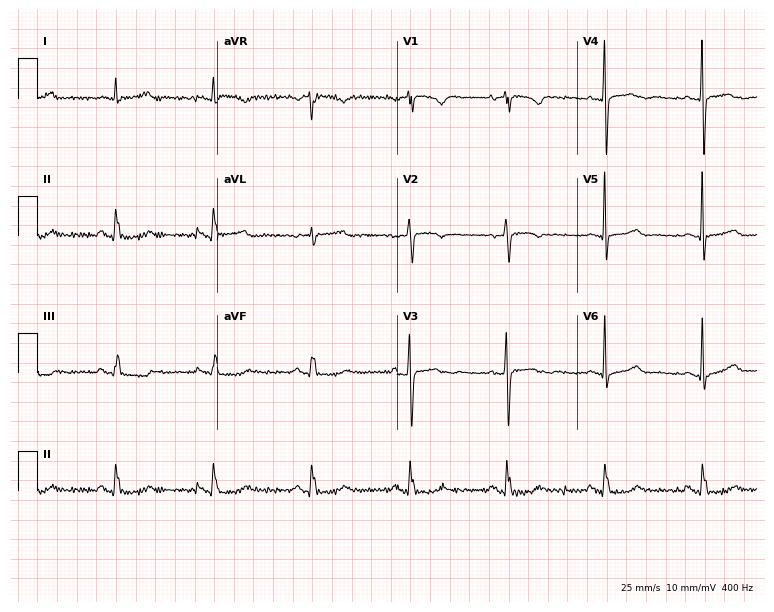
Standard 12-lead ECG recorded from a female patient, 84 years old (7.3-second recording at 400 Hz). None of these six findings is recorded: first-degree AV block, right bundle branch block (RBBB), left bundle branch block (LBBB), sinus bradycardia, atrial fibrillation (AF), sinus tachycardia.